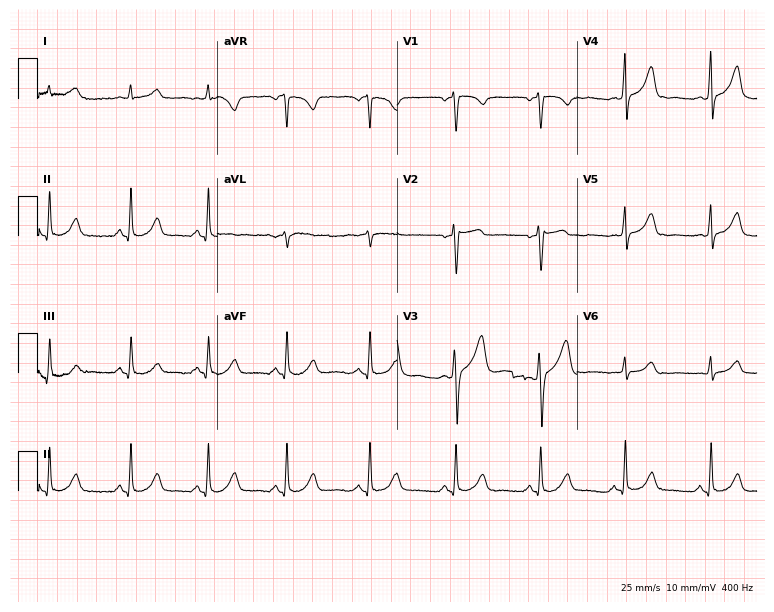
12-lead ECG (7.3-second recording at 400 Hz) from a 65-year-old male. Labelled as a normal ECG.